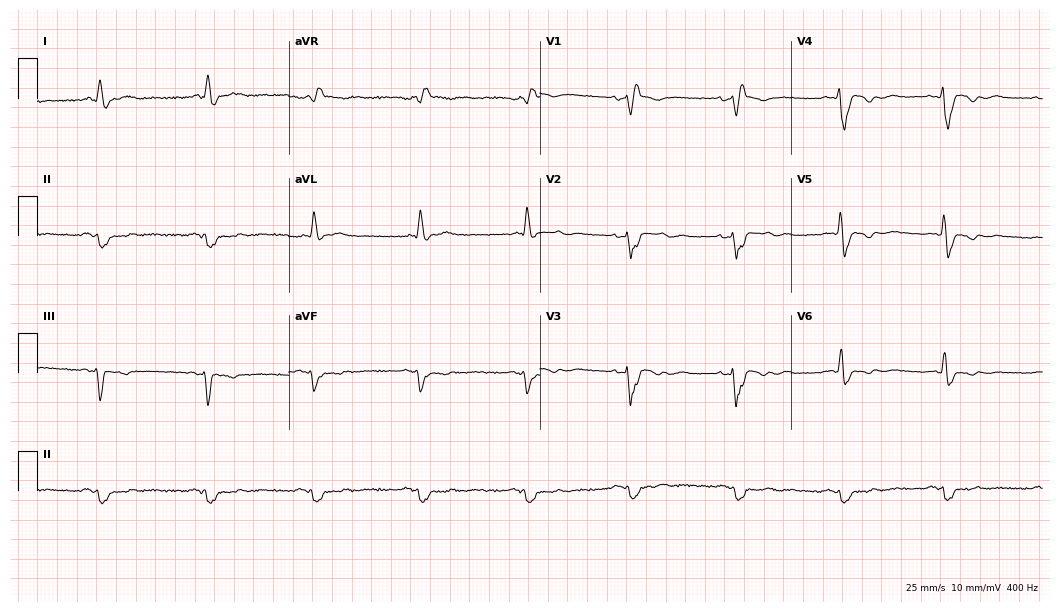
Electrocardiogram, a male, 59 years old. Interpretation includes right bundle branch block (RBBB).